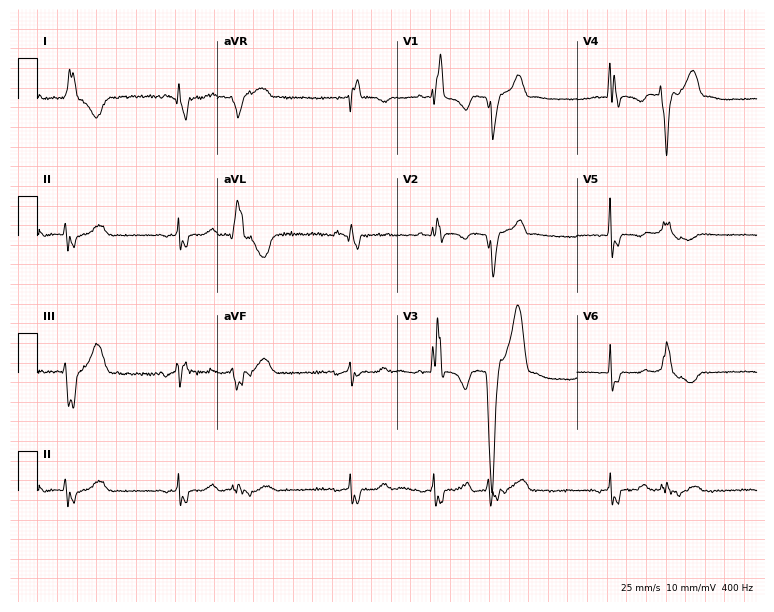
12-lead ECG from a woman, 64 years old. Findings include right bundle branch block.